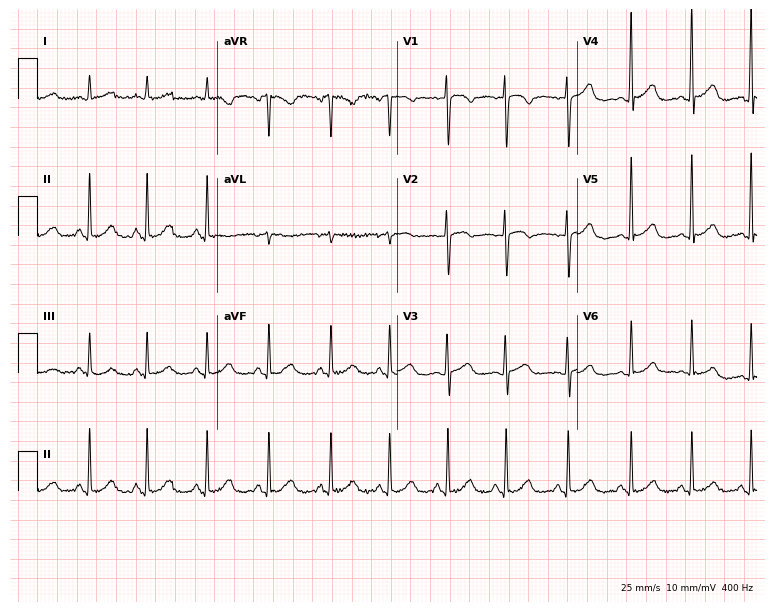
Resting 12-lead electrocardiogram (7.3-second recording at 400 Hz). Patient: a 67-year-old female. None of these six findings is recorded: first-degree AV block, right bundle branch block, left bundle branch block, sinus bradycardia, atrial fibrillation, sinus tachycardia.